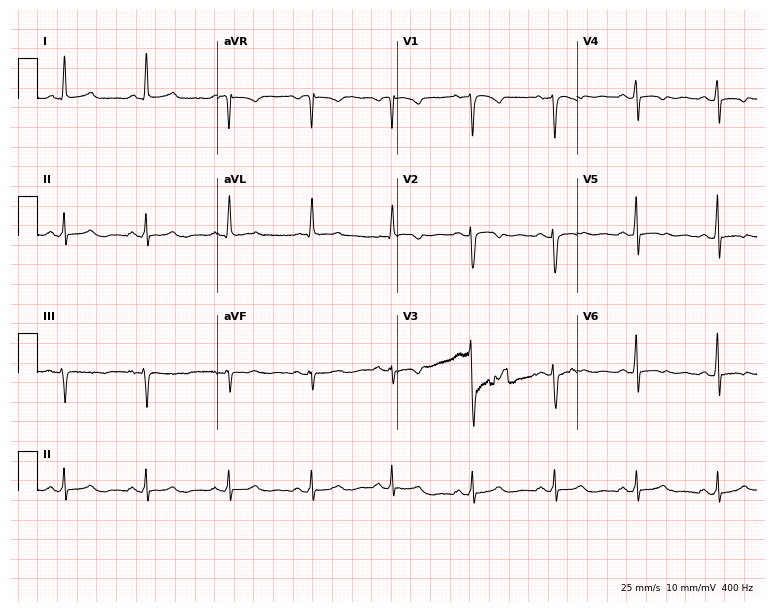
12-lead ECG from a 48-year-old female. No first-degree AV block, right bundle branch block, left bundle branch block, sinus bradycardia, atrial fibrillation or sinus tachycardia recorded for this tracing. Other findings, if any, are not listed.